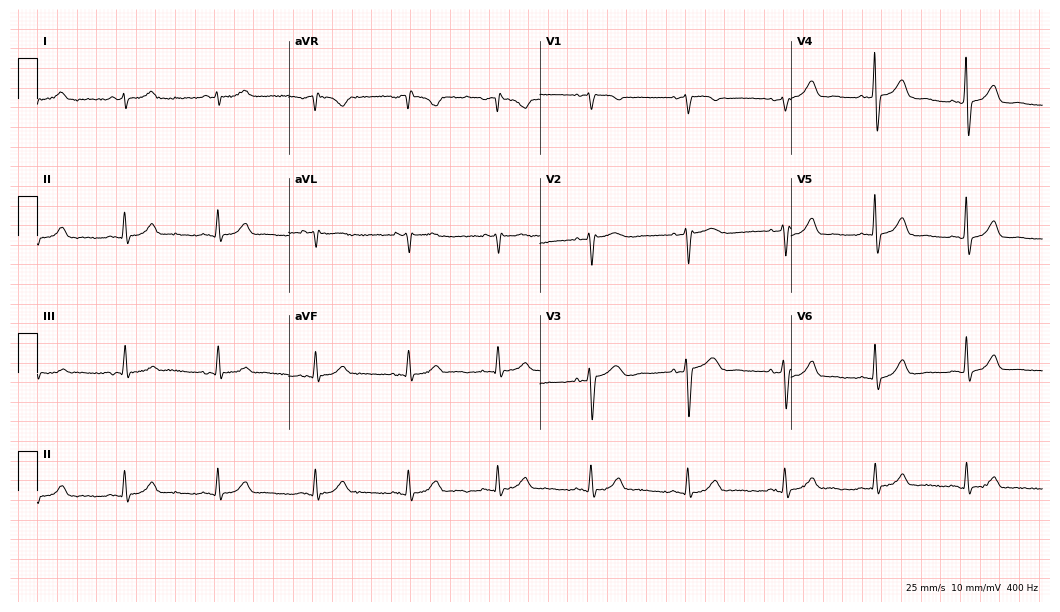
12-lead ECG (10.2-second recording at 400 Hz) from a female, 67 years old. Screened for six findings — first-degree AV block, right bundle branch block, left bundle branch block, sinus bradycardia, atrial fibrillation, sinus tachycardia — none is recorded.